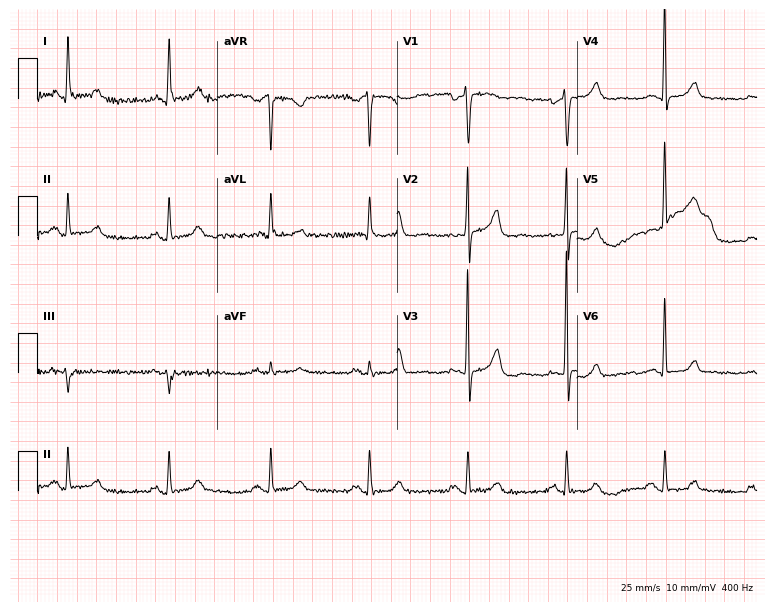
ECG — a female, 81 years old. Screened for six findings — first-degree AV block, right bundle branch block, left bundle branch block, sinus bradycardia, atrial fibrillation, sinus tachycardia — none is recorded.